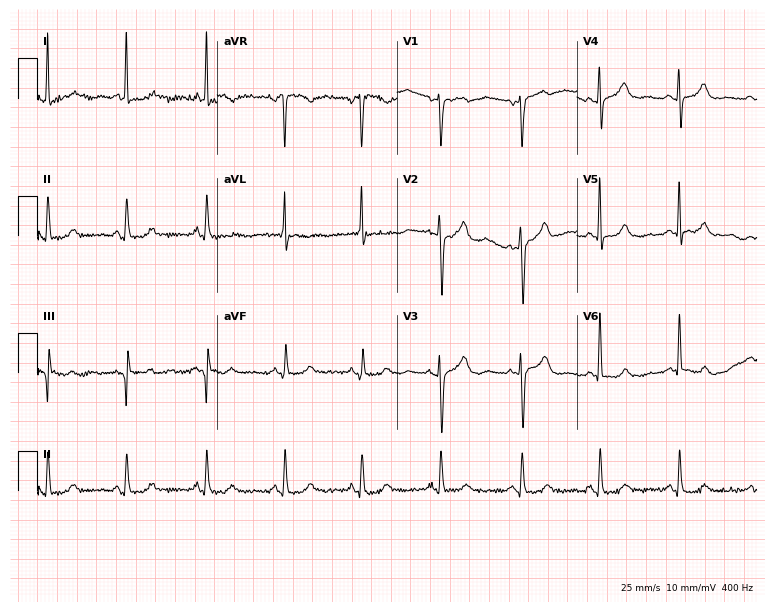
12-lead ECG from a 58-year-old female patient (7.3-second recording at 400 Hz). Recorded interpretation: within normal limits.